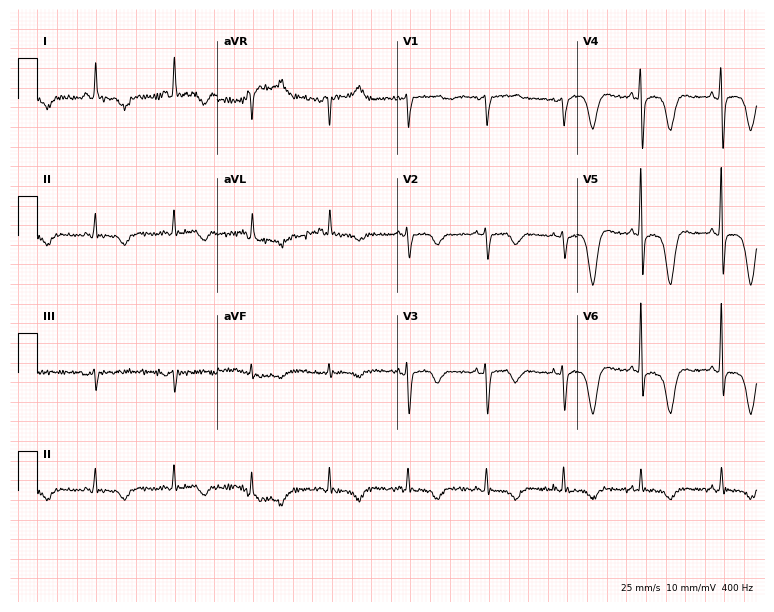
12-lead ECG from a female, 70 years old. No first-degree AV block, right bundle branch block, left bundle branch block, sinus bradycardia, atrial fibrillation or sinus tachycardia recorded for this tracing. Findings outside these six are not listed.